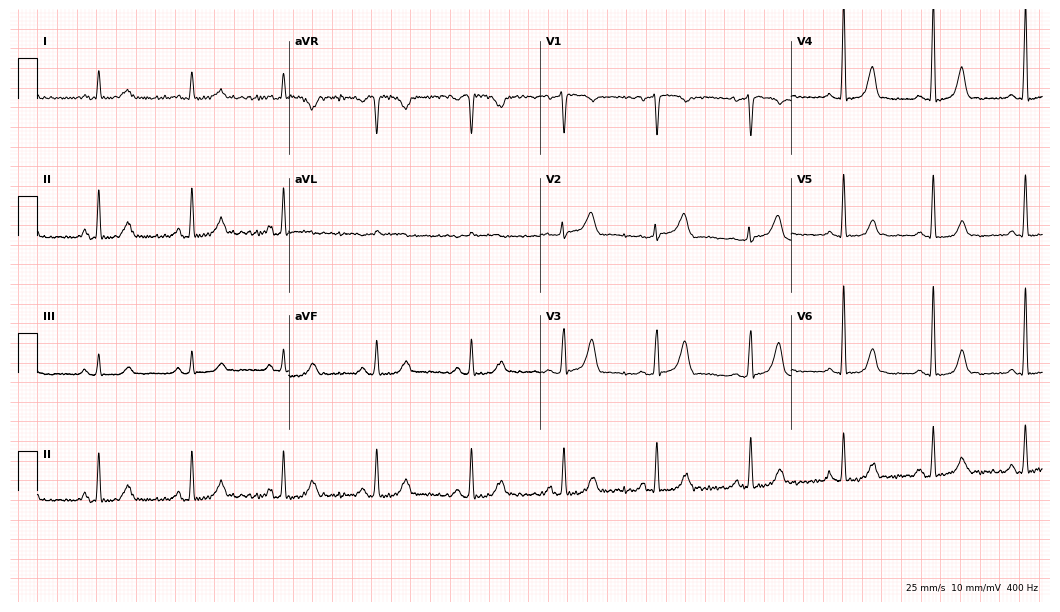
Standard 12-lead ECG recorded from a 59-year-old female patient. Read as a normal ECG.